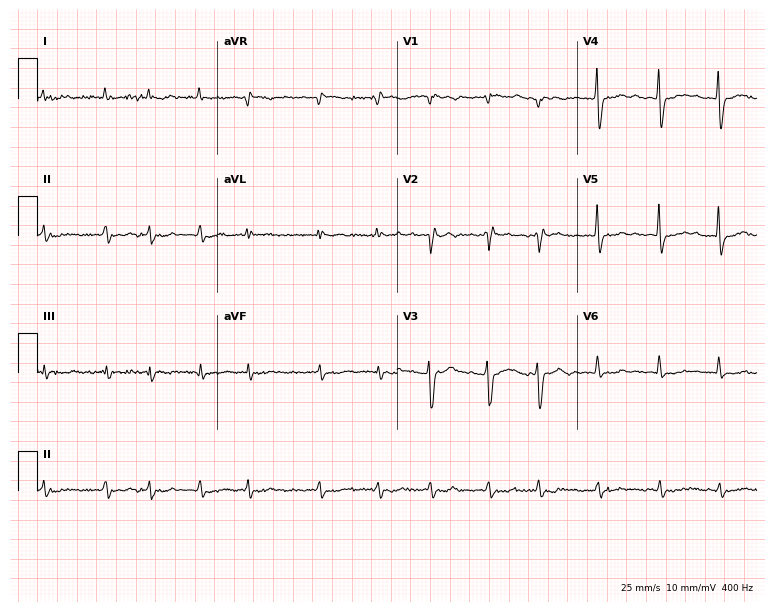
Standard 12-lead ECG recorded from an 88-year-old male patient. The tracing shows atrial fibrillation.